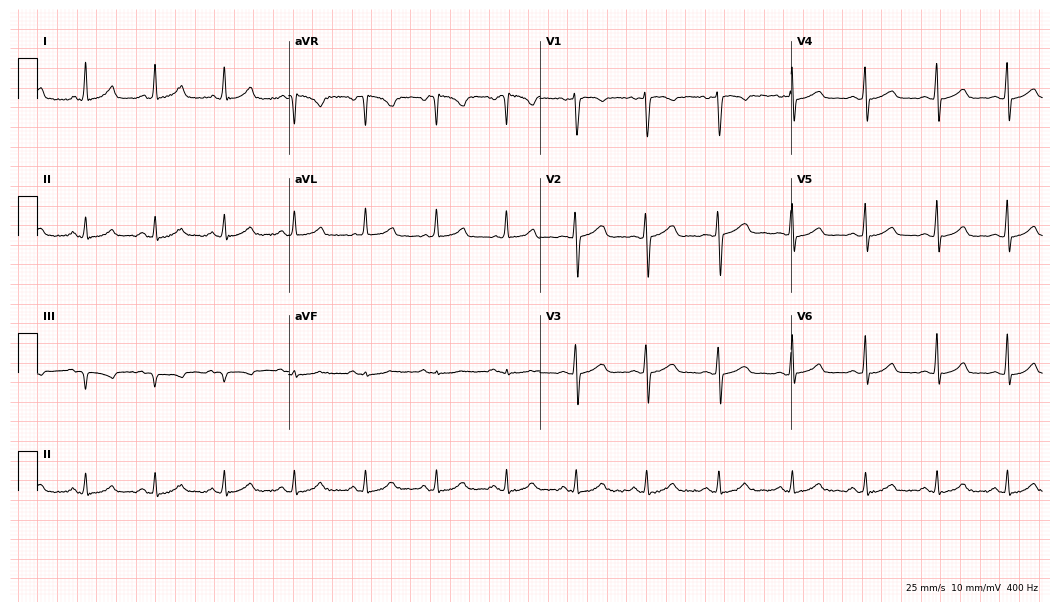
Resting 12-lead electrocardiogram. Patient: a woman, 38 years old. Read as a normal ECG.